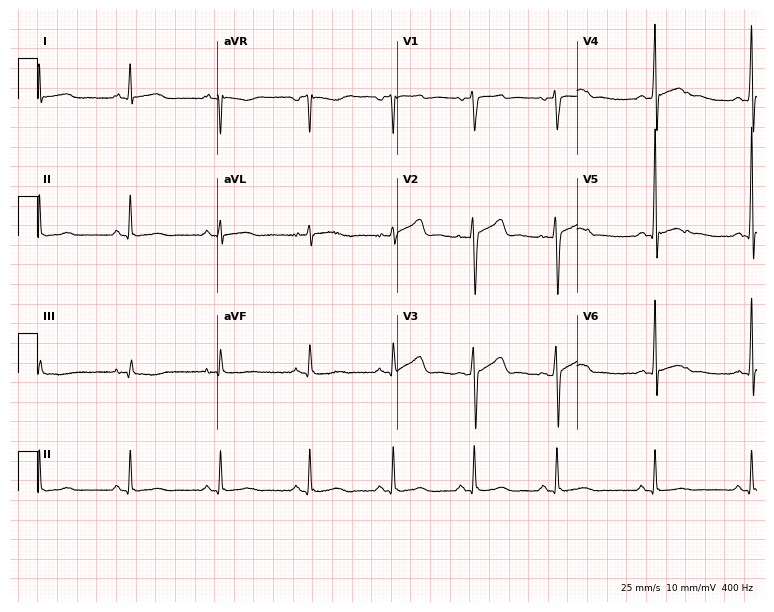
12-lead ECG from a man, 46 years old. No first-degree AV block, right bundle branch block, left bundle branch block, sinus bradycardia, atrial fibrillation or sinus tachycardia recorded for this tracing.